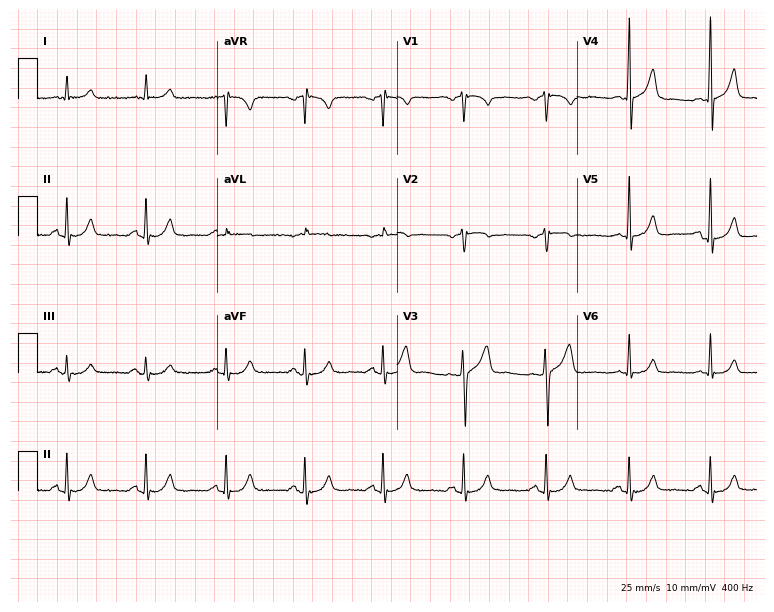
ECG — a male patient, 50 years old. Labelled as a normal ECG.